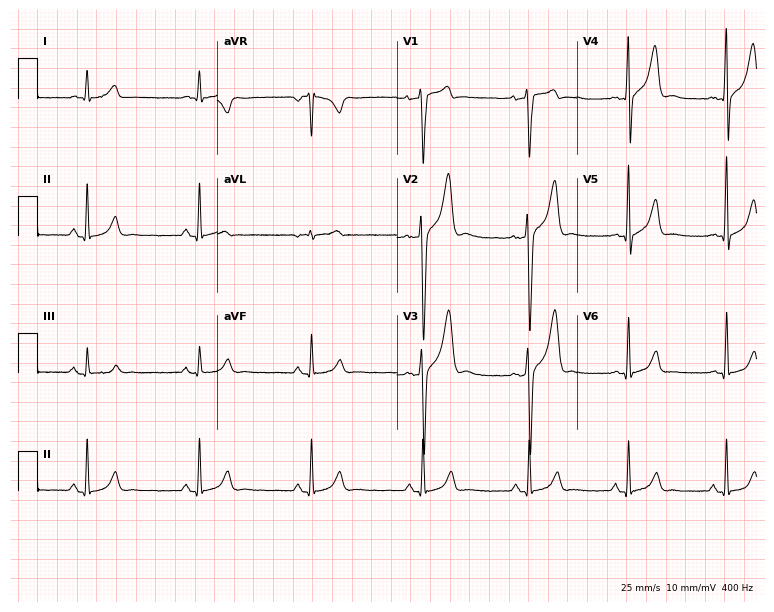
12-lead ECG from a 30-year-old male patient. Screened for six findings — first-degree AV block, right bundle branch block, left bundle branch block, sinus bradycardia, atrial fibrillation, sinus tachycardia — none is recorded.